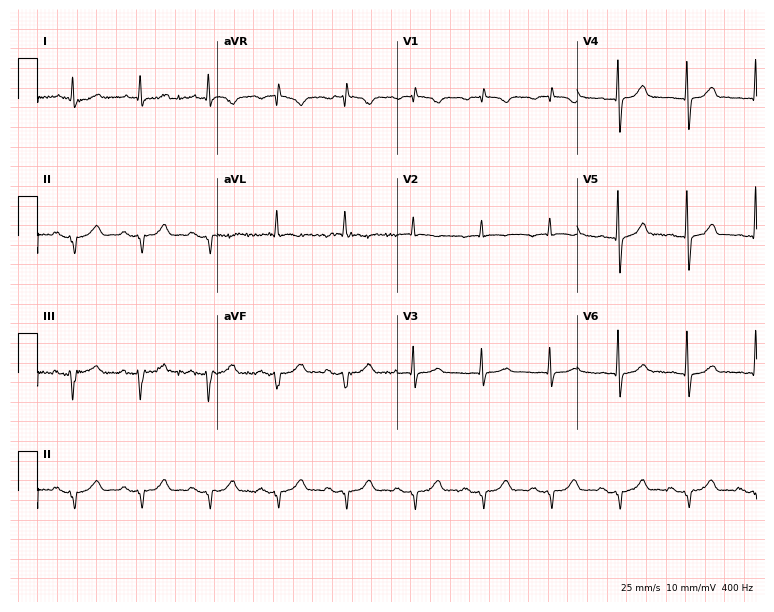
12-lead ECG (7.3-second recording at 400 Hz) from a female patient, 78 years old. Screened for six findings — first-degree AV block, right bundle branch block (RBBB), left bundle branch block (LBBB), sinus bradycardia, atrial fibrillation (AF), sinus tachycardia — none is recorded.